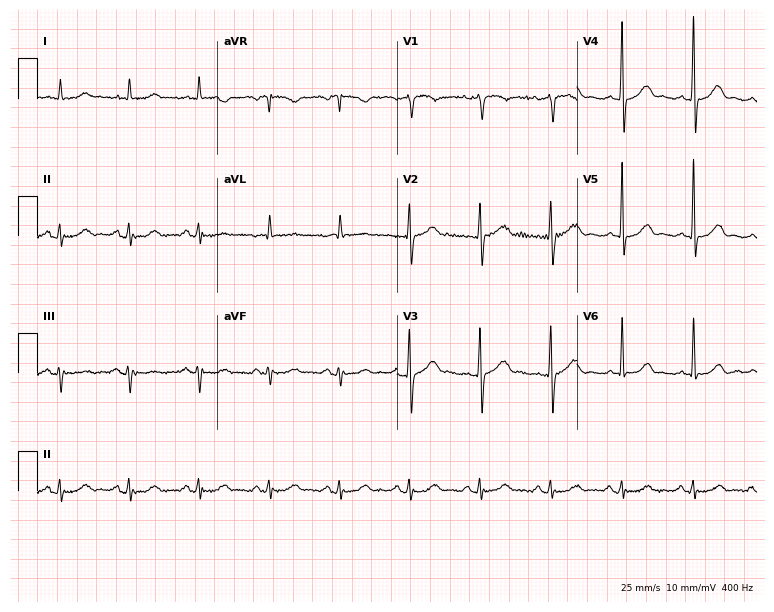
Standard 12-lead ECG recorded from a female patient, 74 years old (7.3-second recording at 400 Hz). None of these six findings is recorded: first-degree AV block, right bundle branch block, left bundle branch block, sinus bradycardia, atrial fibrillation, sinus tachycardia. Only these six findings were labelled.